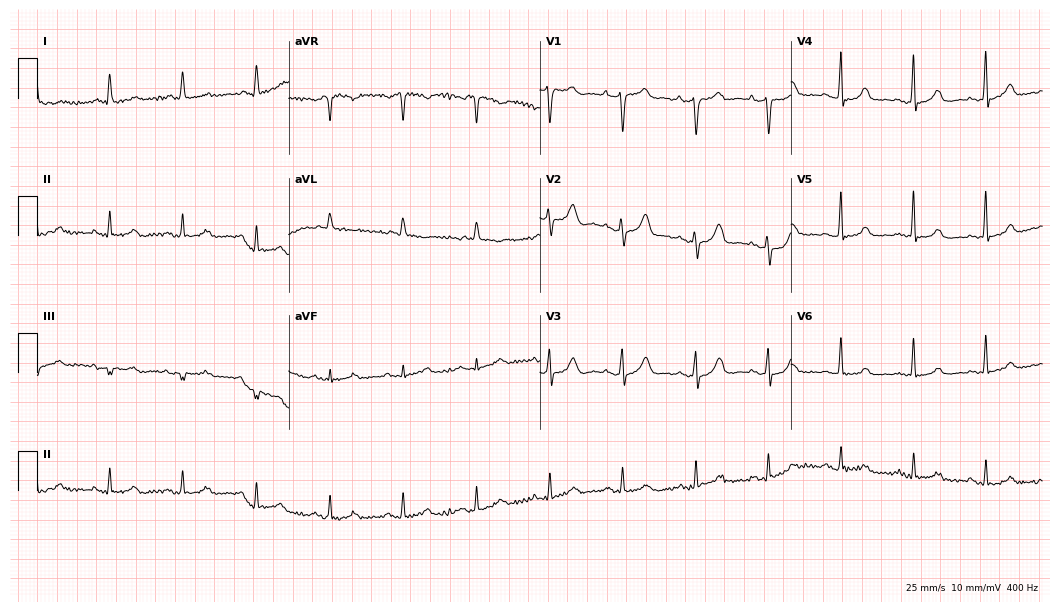
Electrocardiogram, an 80-year-old female patient. Overall reading on record: normal ECG.